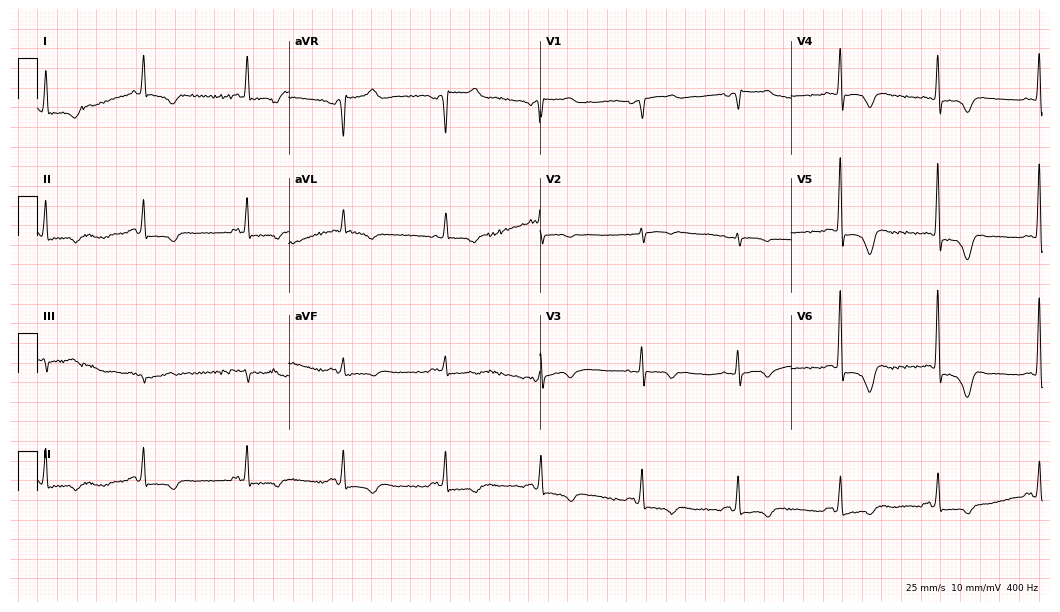
Resting 12-lead electrocardiogram. Patient: a 75-year-old male. None of these six findings is recorded: first-degree AV block, right bundle branch block (RBBB), left bundle branch block (LBBB), sinus bradycardia, atrial fibrillation (AF), sinus tachycardia.